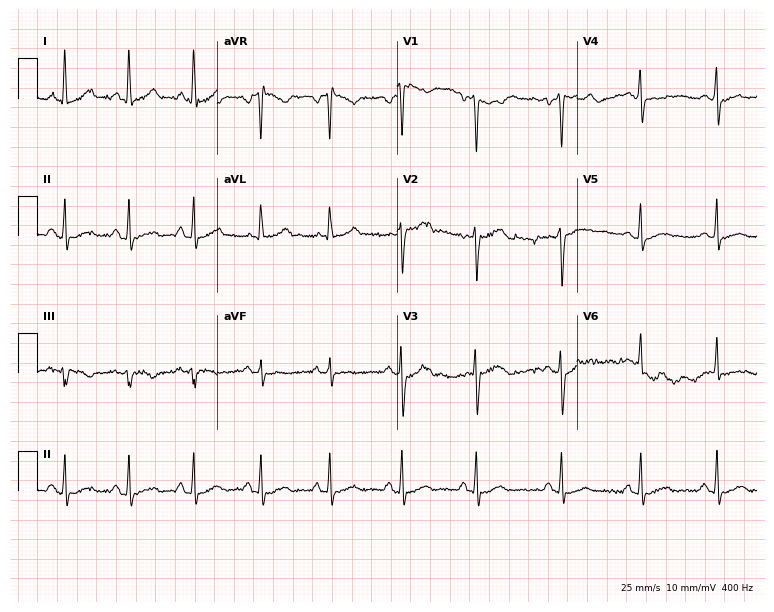
Standard 12-lead ECG recorded from a 31-year-old female patient (7.3-second recording at 400 Hz). Read as a normal ECG.